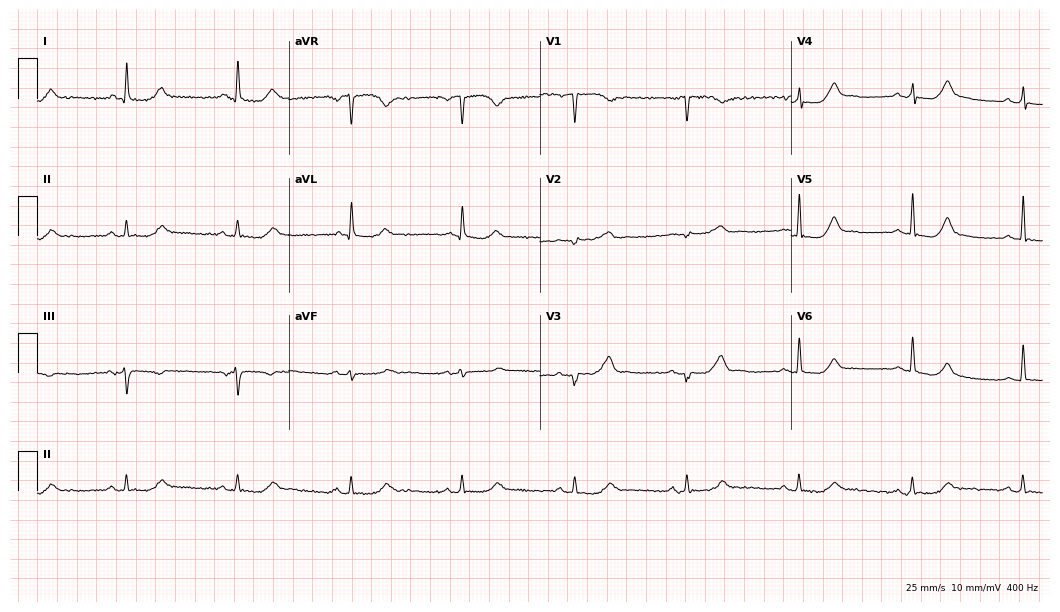
Standard 12-lead ECG recorded from a female, 65 years old (10.2-second recording at 400 Hz). Read as a normal ECG.